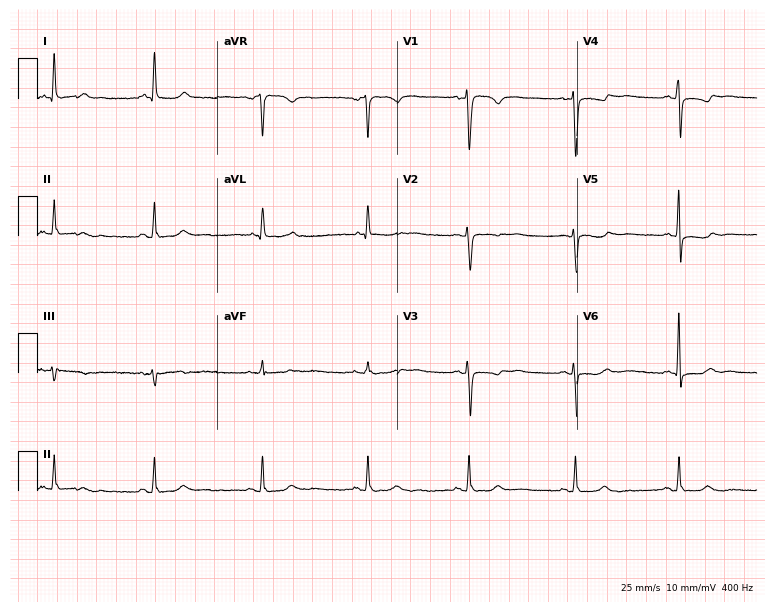
Resting 12-lead electrocardiogram (7.3-second recording at 400 Hz). Patient: a female, 57 years old. None of these six findings is recorded: first-degree AV block, right bundle branch block (RBBB), left bundle branch block (LBBB), sinus bradycardia, atrial fibrillation (AF), sinus tachycardia. Findings outside these six are not listed.